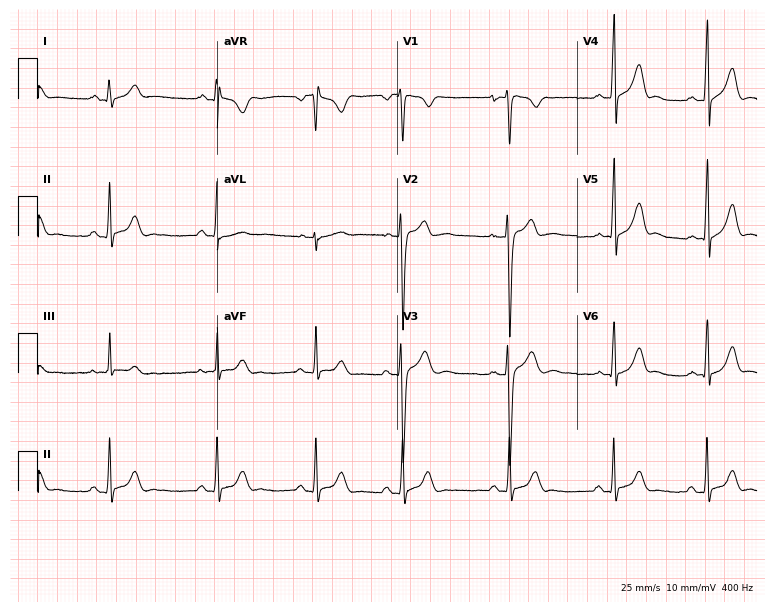
ECG (7.3-second recording at 400 Hz) — an 18-year-old woman. Labelled as a normal ECG.